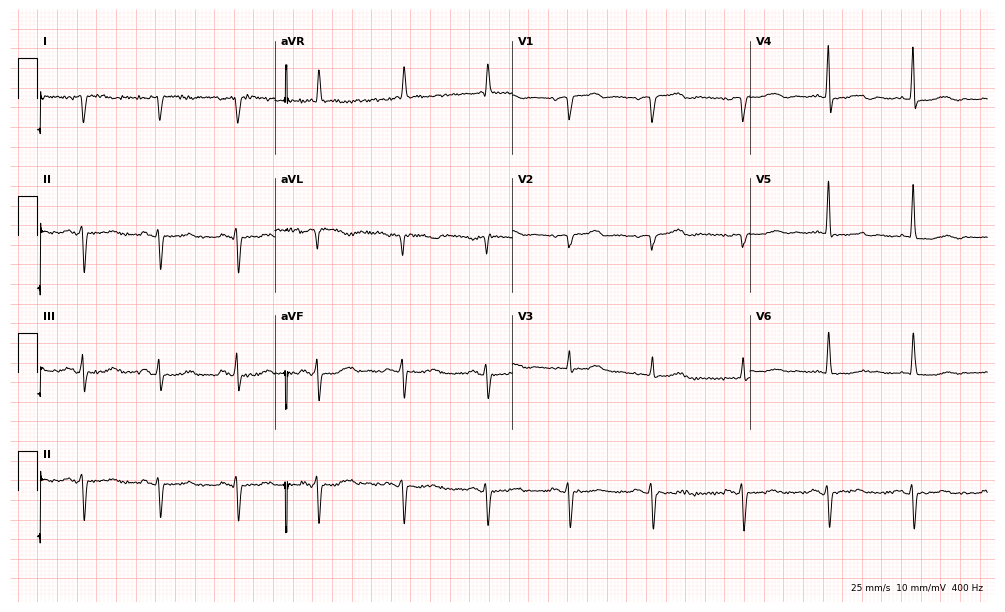
Resting 12-lead electrocardiogram. Patient: a female, 85 years old. None of these six findings is recorded: first-degree AV block, right bundle branch block, left bundle branch block, sinus bradycardia, atrial fibrillation, sinus tachycardia.